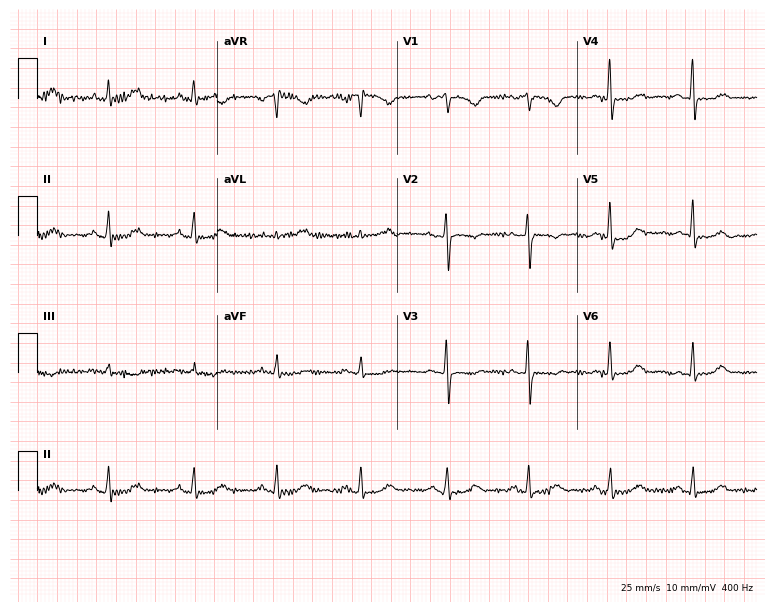
12-lead ECG from a 59-year-old female patient. Recorded interpretation: within normal limits.